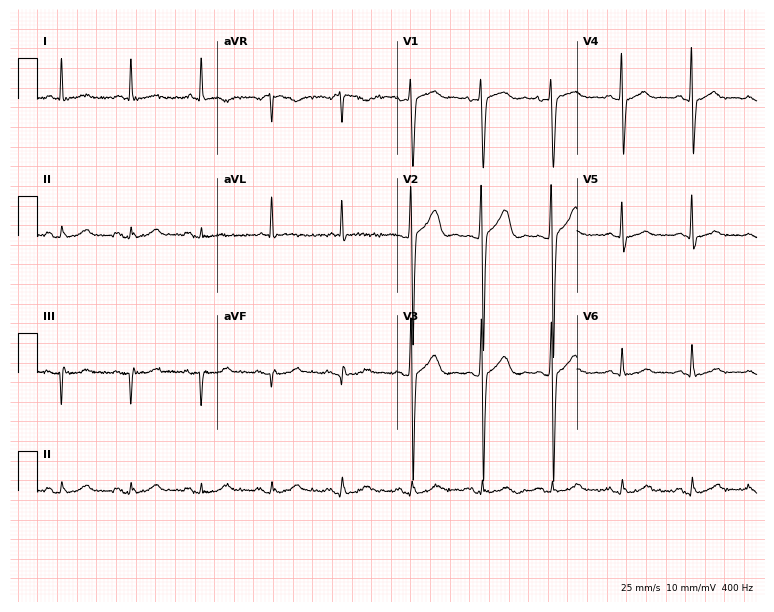
12-lead ECG from a male, 69 years old (7.3-second recording at 400 Hz). Recorded interpretation: within normal limits.